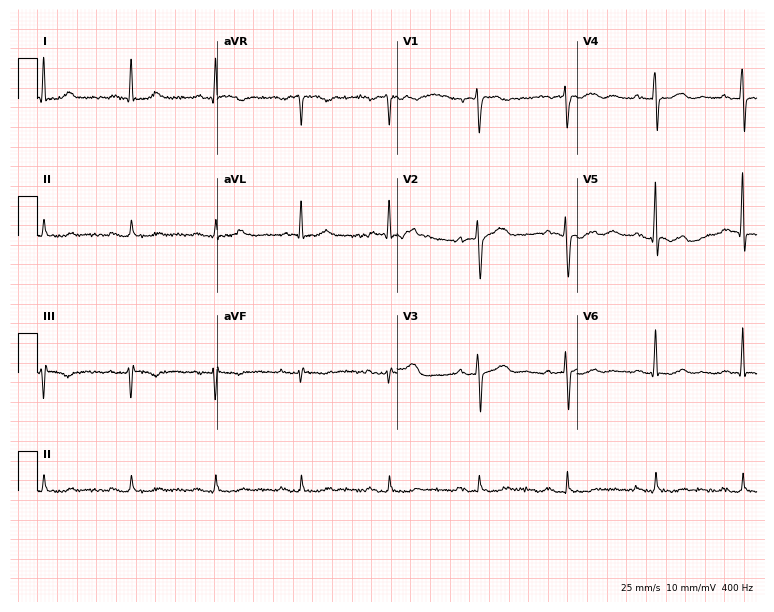
12-lead ECG from a 73-year-old woman. No first-degree AV block, right bundle branch block, left bundle branch block, sinus bradycardia, atrial fibrillation or sinus tachycardia recorded for this tracing.